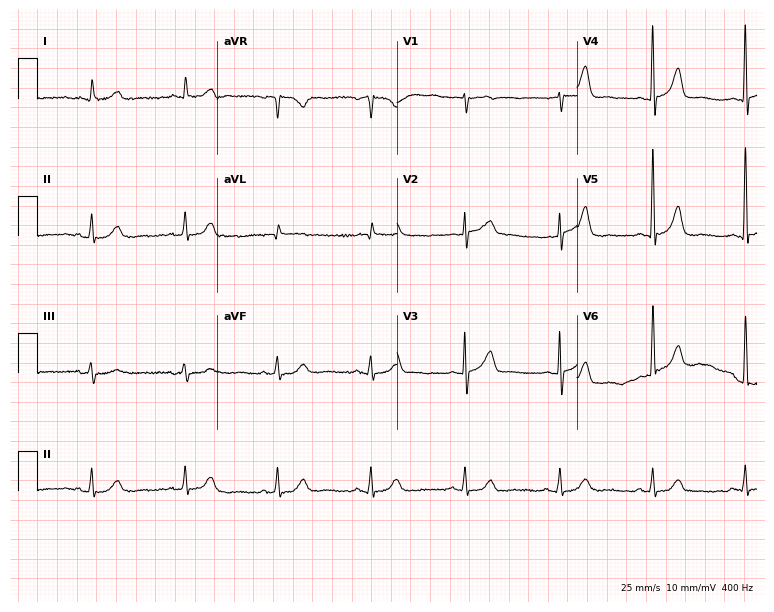
Resting 12-lead electrocardiogram. Patient: an 83-year-old male. Read as a normal ECG.